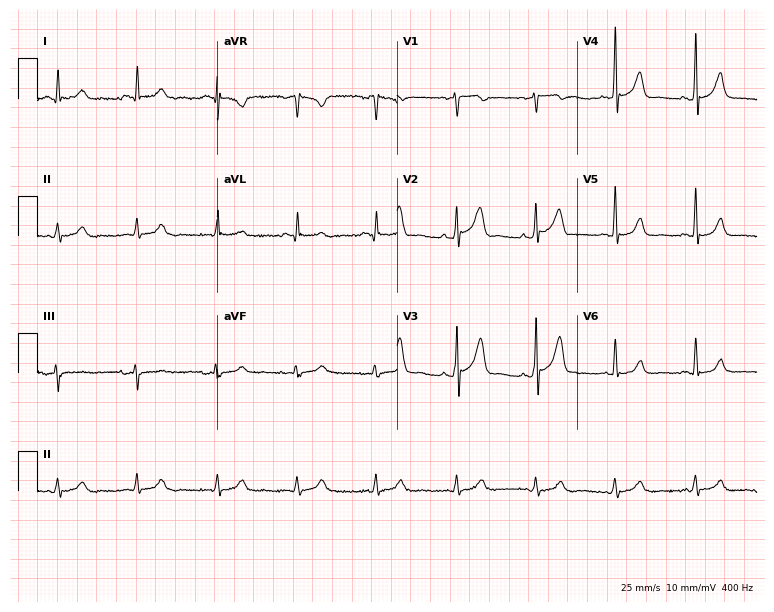
Resting 12-lead electrocardiogram (7.3-second recording at 400 Hz). Patient: a 47-year-old man. Read as a normal ECG.